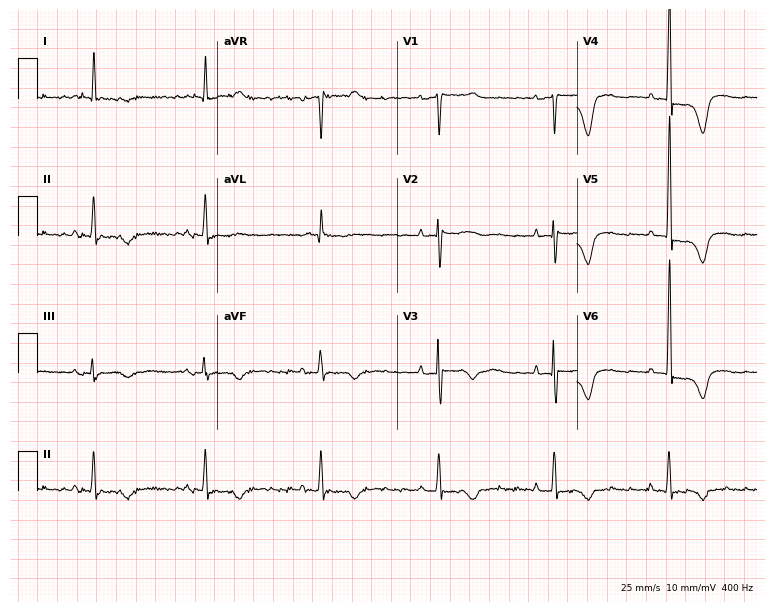
12-lead ECG from a 79-year-old female. Labelled as a normal ECG.